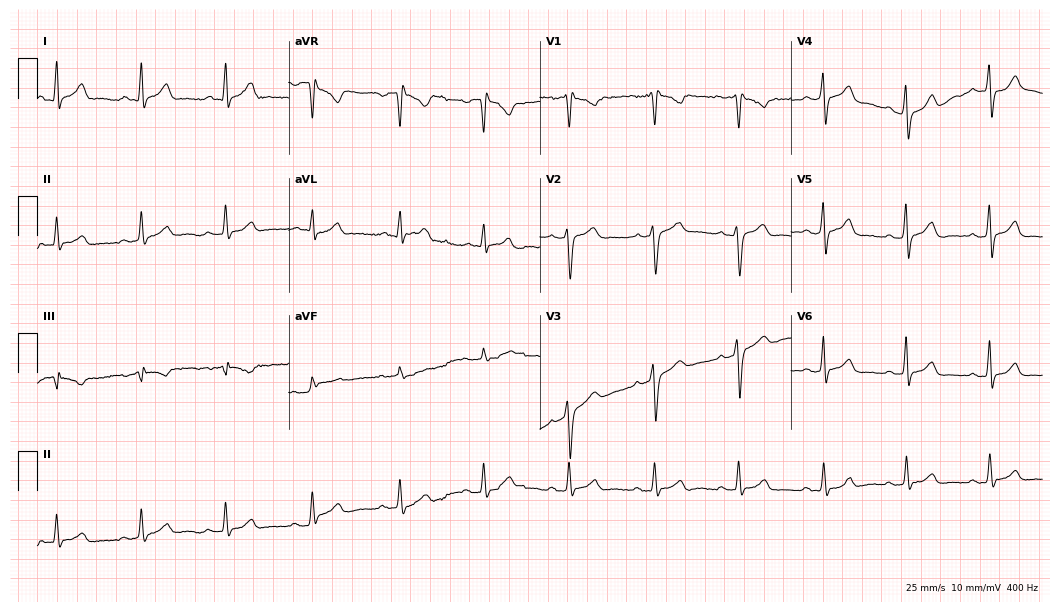
12-lead ECG from a 33-year-old woman. Recorded interpretation: within normal limits.